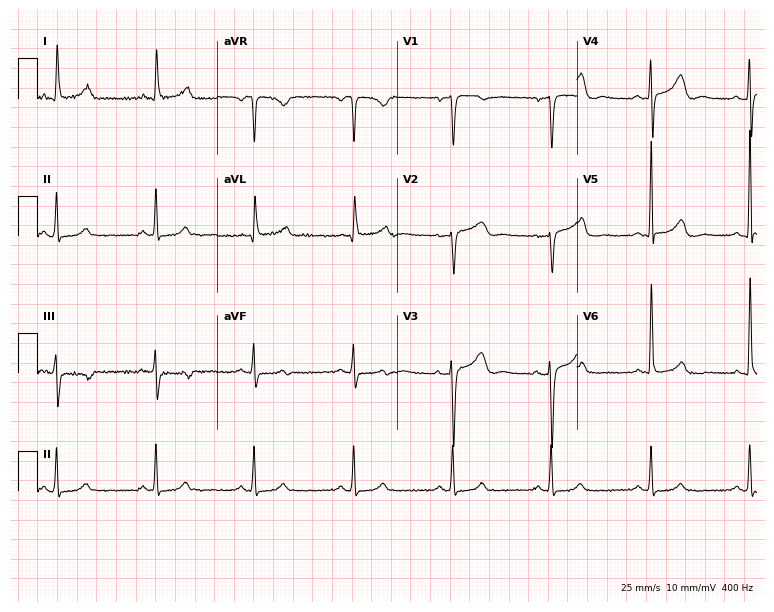
12-lead ECG from a 75-year-old female. Labelled as a normal ECG.